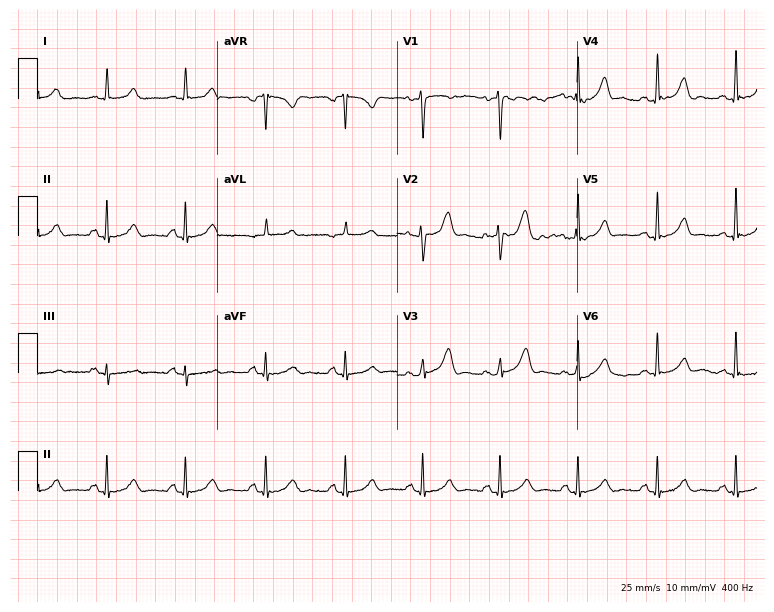
12-lead ECG from a 44-year-old female patient (7.3-second recording at 400 Hz). Recorded interpretation: within normal limits.